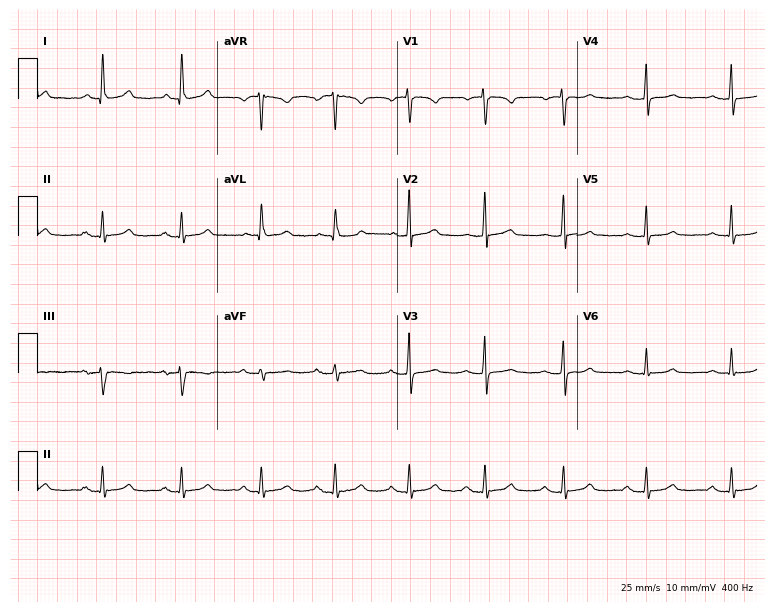
Electrocardiogram, a 56-year-old female. Of the six screened findings (first-degree AV block, right bundle branch block, left bundle branch block, sinus bradycardia, atrial fibrillation, sinus tachycardia), none is recorded. Findings outside these six are not listed.